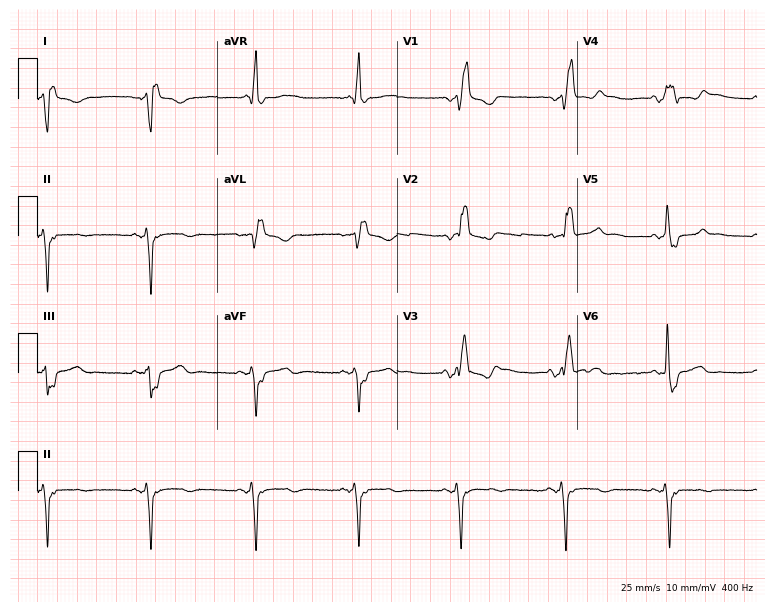
Electrocardiogram (7.3-second recording at 400 Hz), a male, 83 years old. Of the six screened findings (first-degree AV block, right bundle branch block, left bundle branch block, sinus bradycardia, atrial fibrillation, sinus tachycardia), none is recorded.